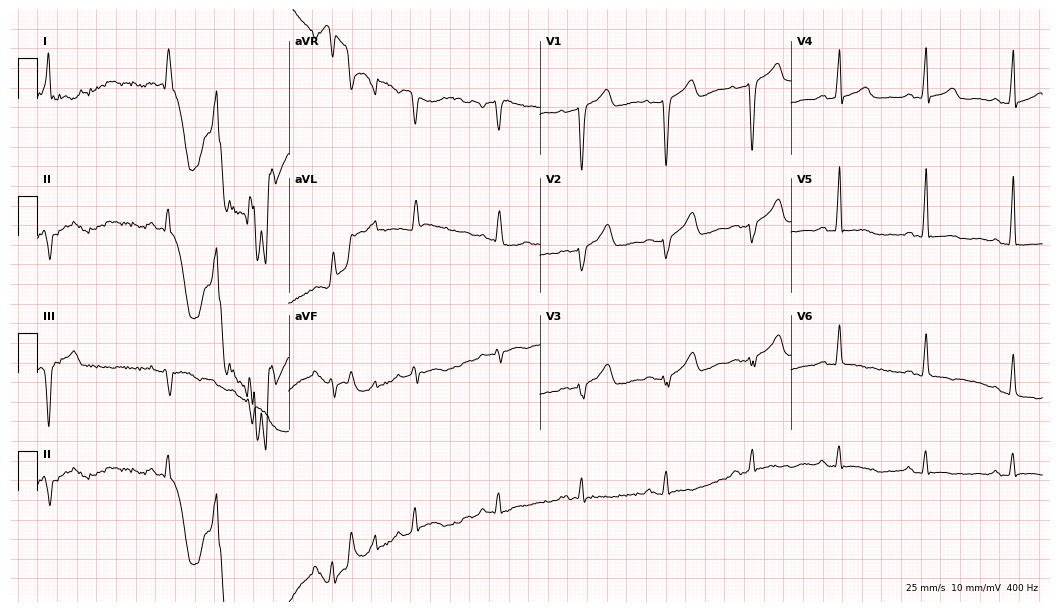
ECG — a 56-year-old man. Labelled as a normal ECG.